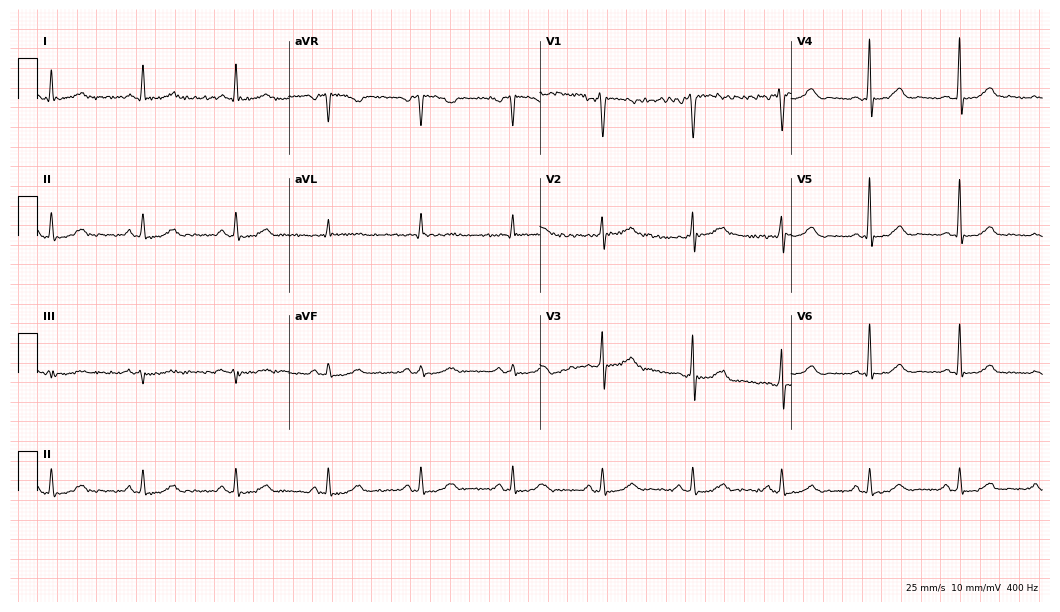
12-lead ECG from a 49-year-old male (10.2-second recording at 400 Hz). Recorded interpretation: within normal limits.